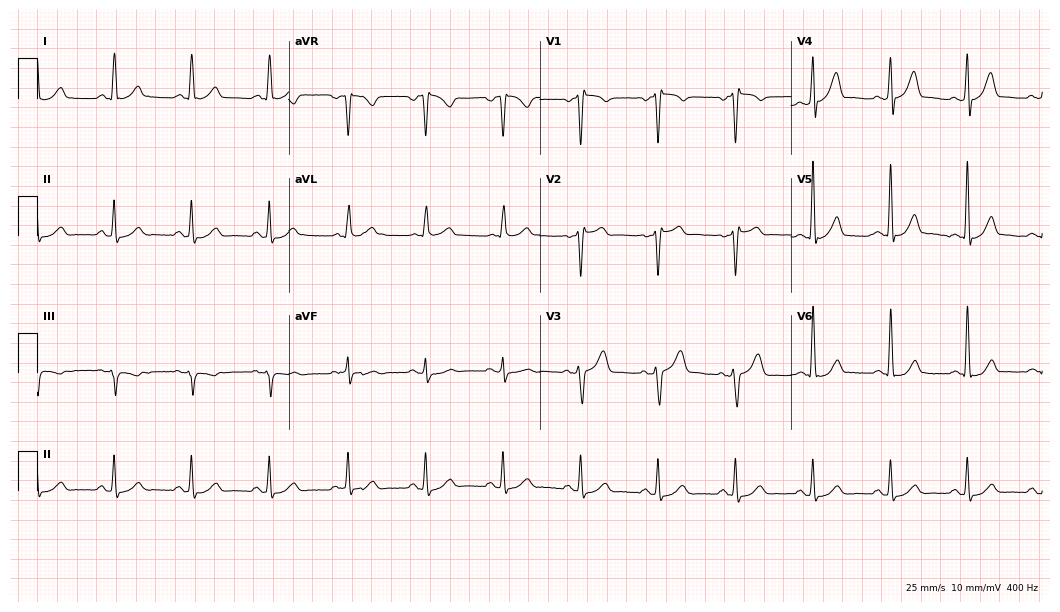
Resting 12-lead electrocardiogram. Patient: a 51-year-old male. Read as a normal ECG.